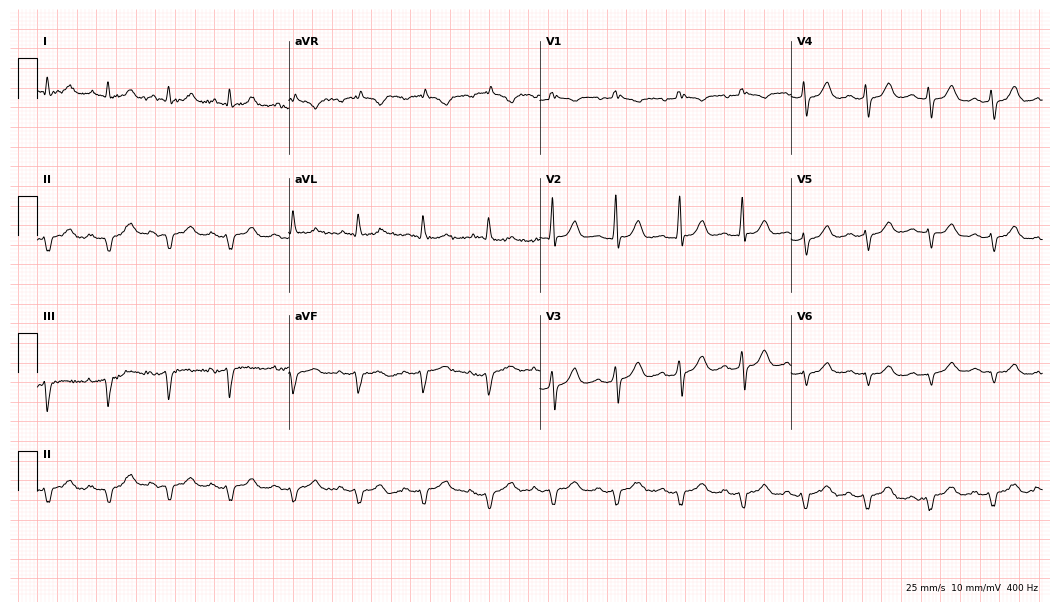
12-lead ECG from a male patient, 73 years old. No first-degree AV block, right bundle branch block, left bundle branch block, sinus bradycardia, atrial fibrillation or sinus tachycardia recorded for this tracing. Other findings, if any, are not listed.